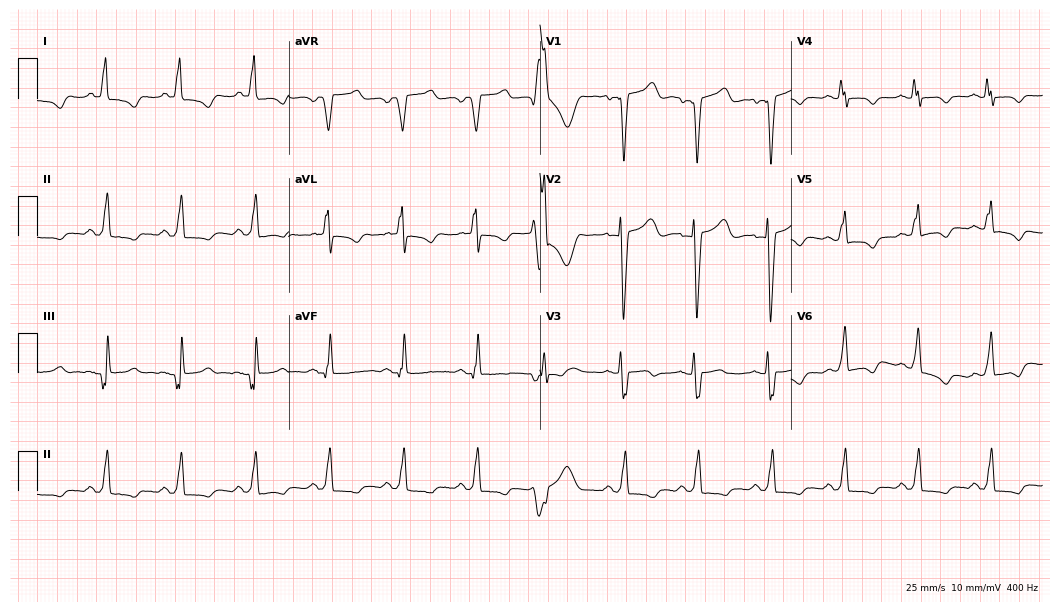
12-lead ECG from a male, 63 years old (10.2-second recording at 400 Hz). No first-degree AV block, right bundle branch block (RBBB), left bundle branch block (LBBB), sinus bradycardia, atrial fibrillation (AF) or sinus tachycardia recorded for this tracing. Other findings, if any, are not listed.